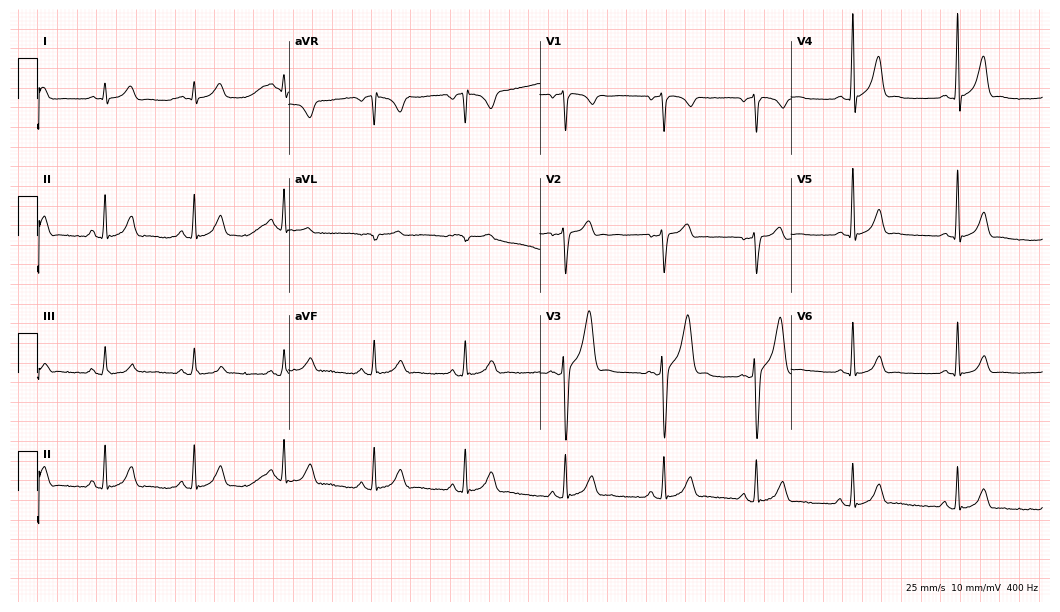
Electrocardiogram, a man, 24 years old. Overall reading on record: normal ECG.